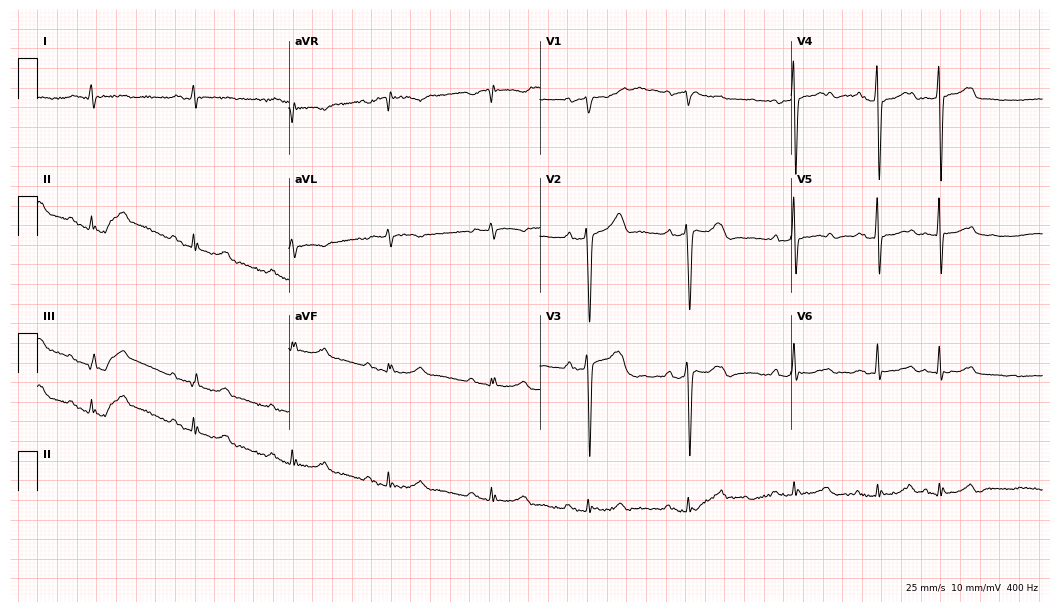
Electrocardiogram (10.2-second recording at 400 Hz), a male patient, 71 years old. Of the six screened findings (first-degree AV block, right bundle branch block, left bundle branch block, sinus bradycardia, atrial fibrillation, sinus tachycardia), none is recorded. Only these six findings were labelled.